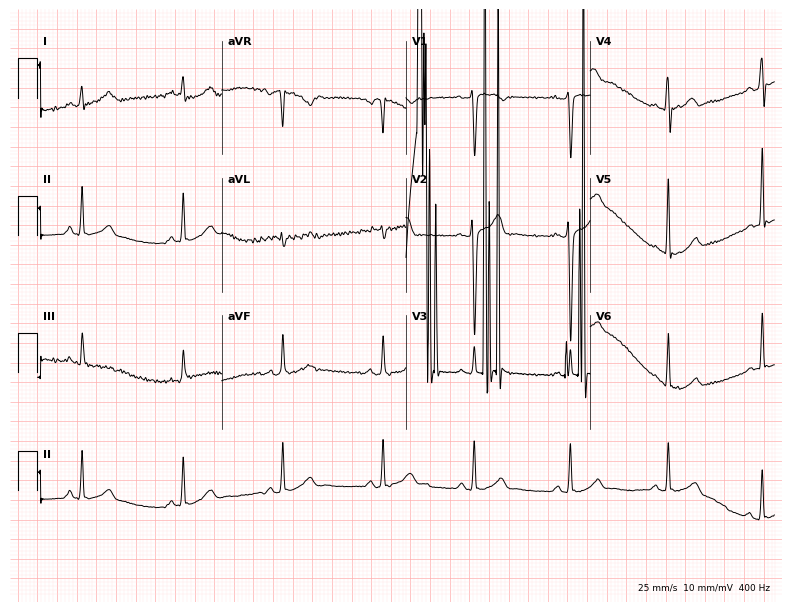
Standard 12-lead ECG recorded from a man, 21 years old (7.5-second recording at 400 Hz). None of these six findings is recorded: first-degree AV block, right bundle branch block, left bundle branch block, sinus bradycardia, atrial fibrillation, sinus tachycardia. Other findings, if any, are not listed.